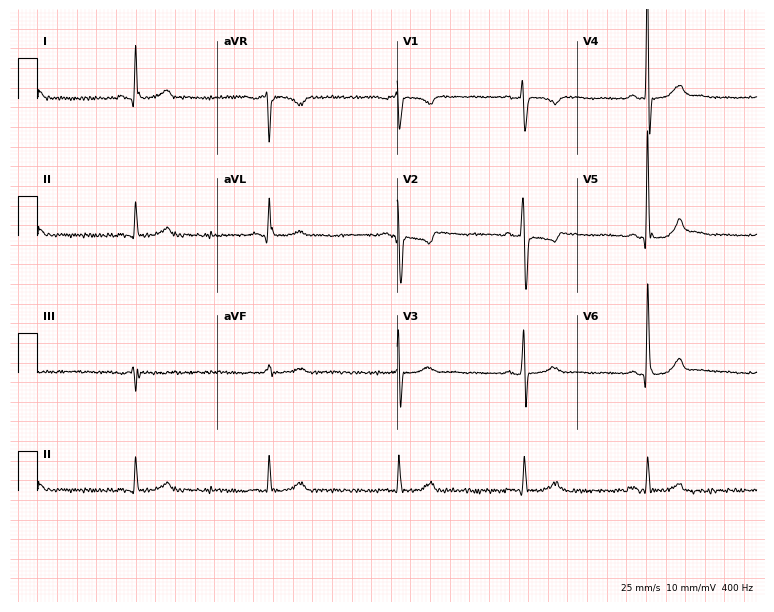
ECG — a male patient, 50 years old. Screened for six findings — first-degree AV block, right bundle branch block, left bundle branch block, sinus bradycardia, atrial fibrillation, sinus tachycardia — none is recorded. Only these six findings were labelled.